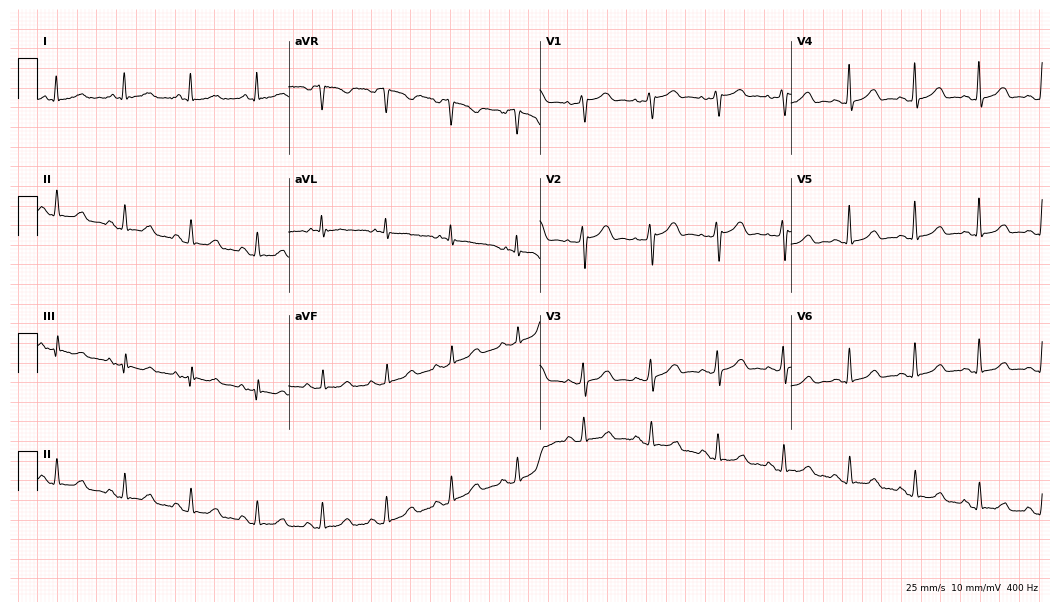
Electrocardiogram (10.2-second recording at 400 Hz), a 60-year-old female. Overall reading on record: normal ECG.